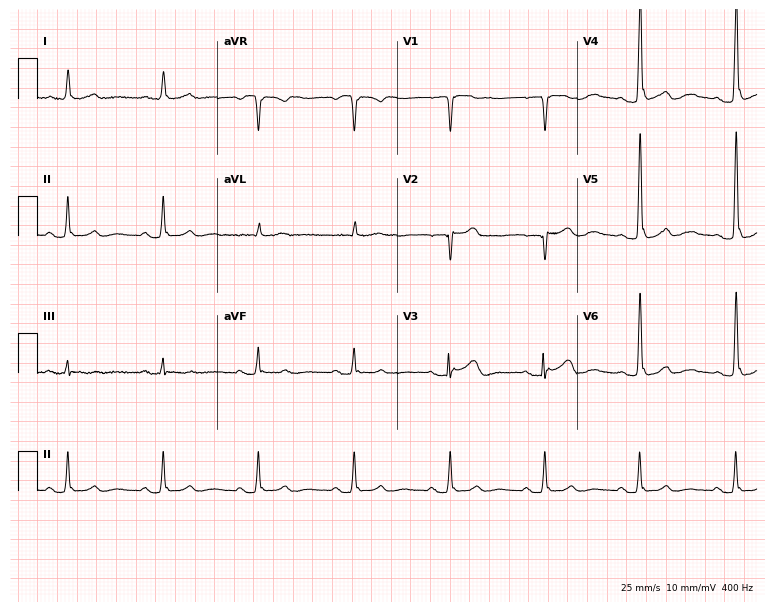
Resting 12-lead electrocardiogram. Patient: a male, 65 years old. None of these six findings is recorded: first-degree AV block, right bundle branch block (RBBB), left bundle branch block (LBBB), sinus bradycardia, atrial fibrillation (AF), sinus tachycardia. Findings outside these six are not listed.